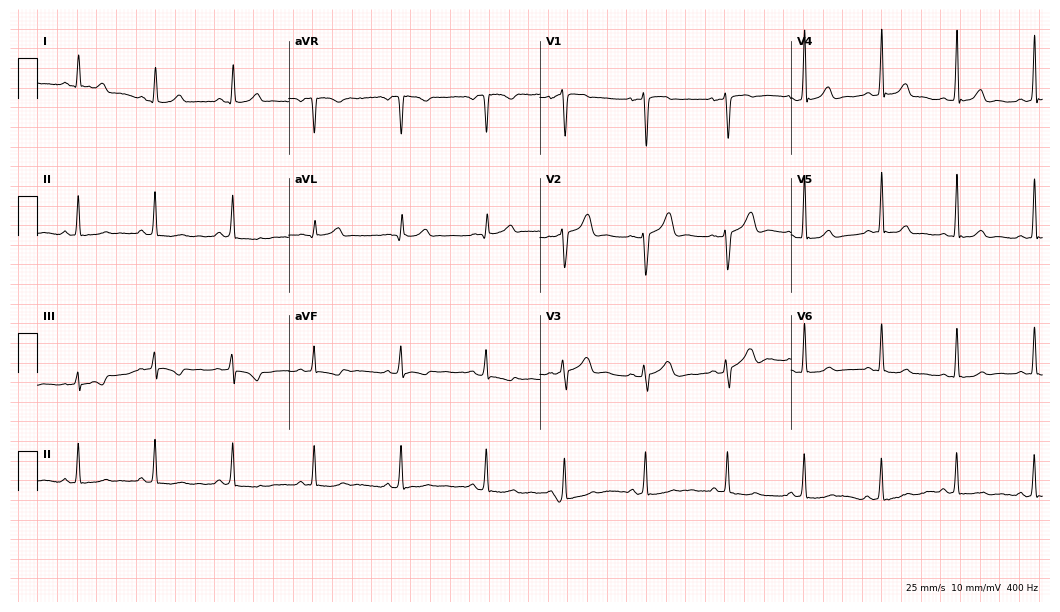
12-lead ECG from a 21-year-old woman. Screened for six findings — first-degree AV block, right bundle branch block, left bundle branch block, sinus bradycardia, atrial fibrillation, sinus tachycardia — none is recorded.